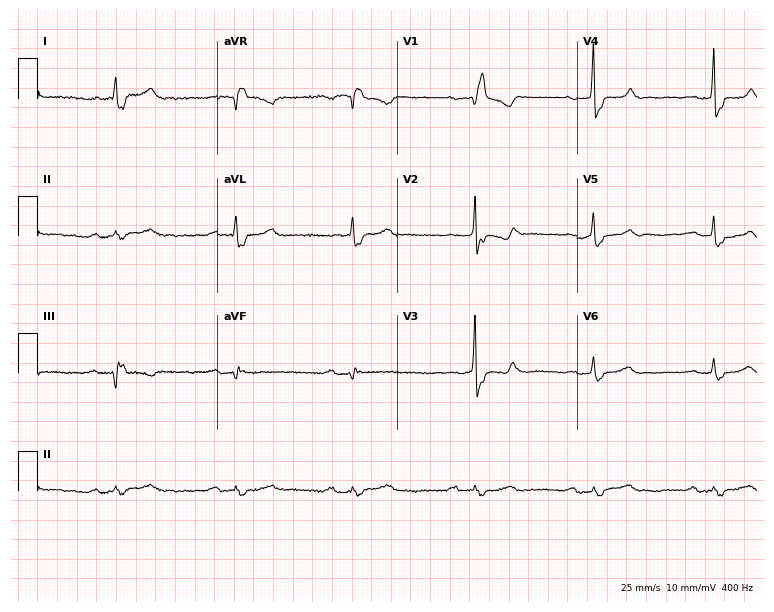
Resting 12-lead electrocardiogram. Patient: a 68-year-old female. The tracing shows first-degree AV block, right bundle branch block (RBBB).